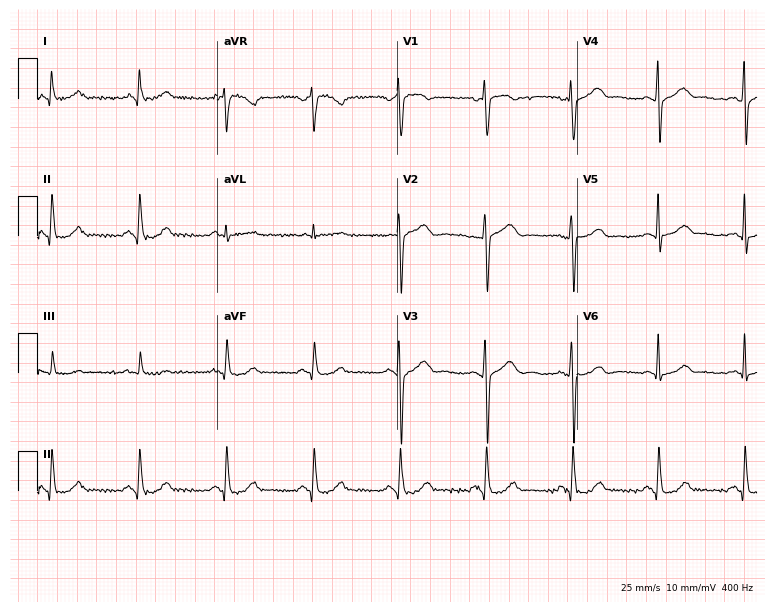
Electrocardiogram, a 55-year-old man. Overall reading on record: normal ECG.